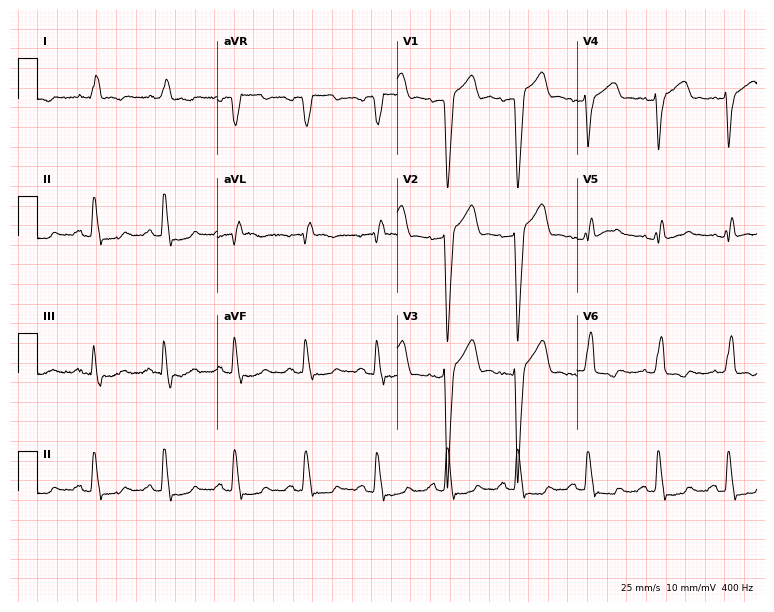
Electrocardiogram (7.3-second recording at 400 Hz), a male, 73 years old. Interpretation includes left bundle branch block (LBBB).